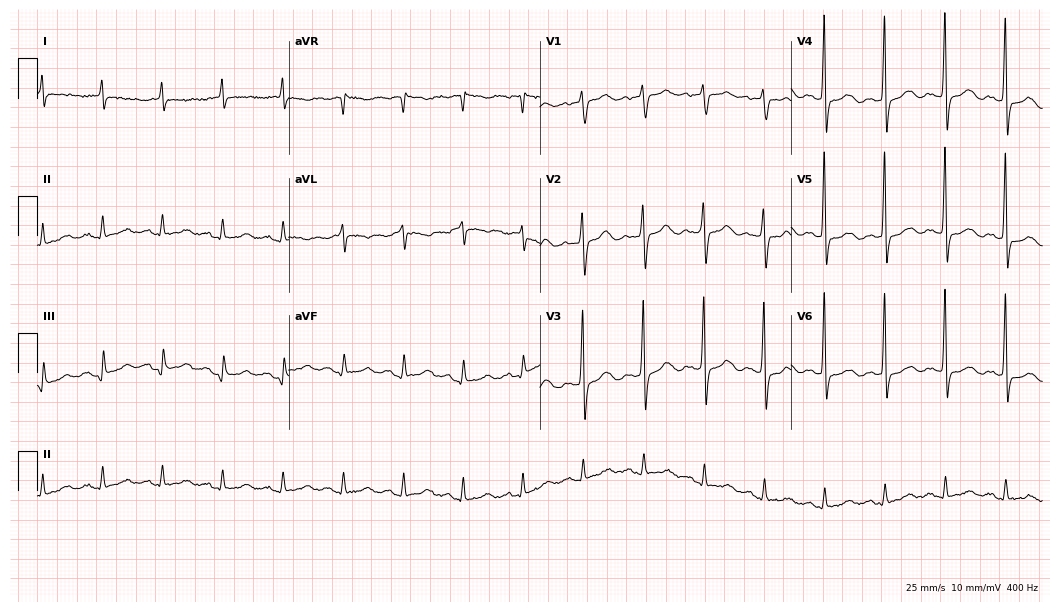
ECG — a woman, 83 years old. Screened for six findings — first-degree AV block, right bundle branch block, left bundle branch block, sinus bradycardia, atrial fibrillation, sinus tachycardia — none is recorded.